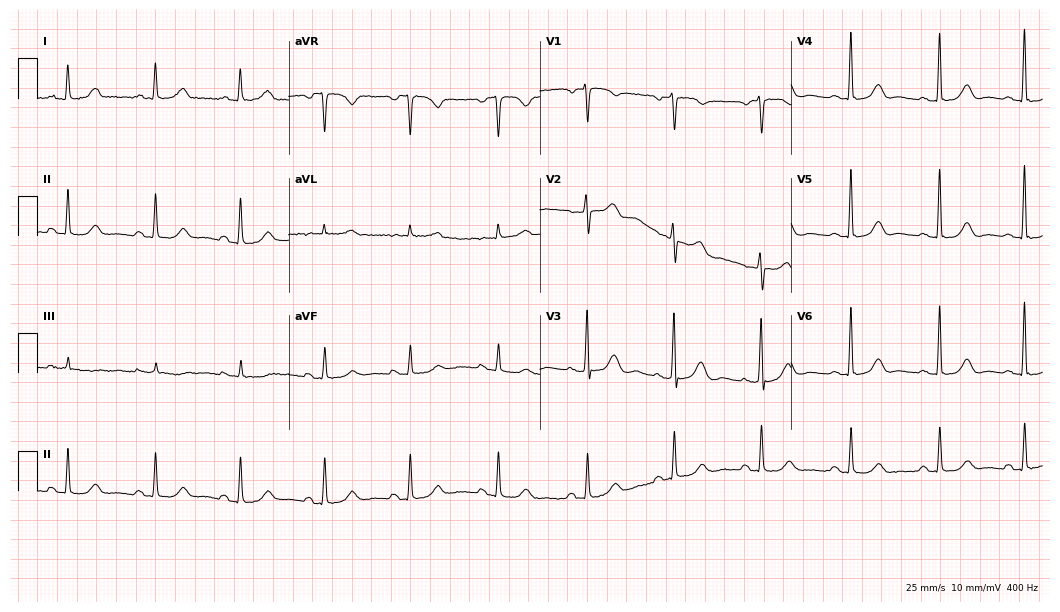
ECG — a 61-year-old female patient. Labelled as a normal ECG.